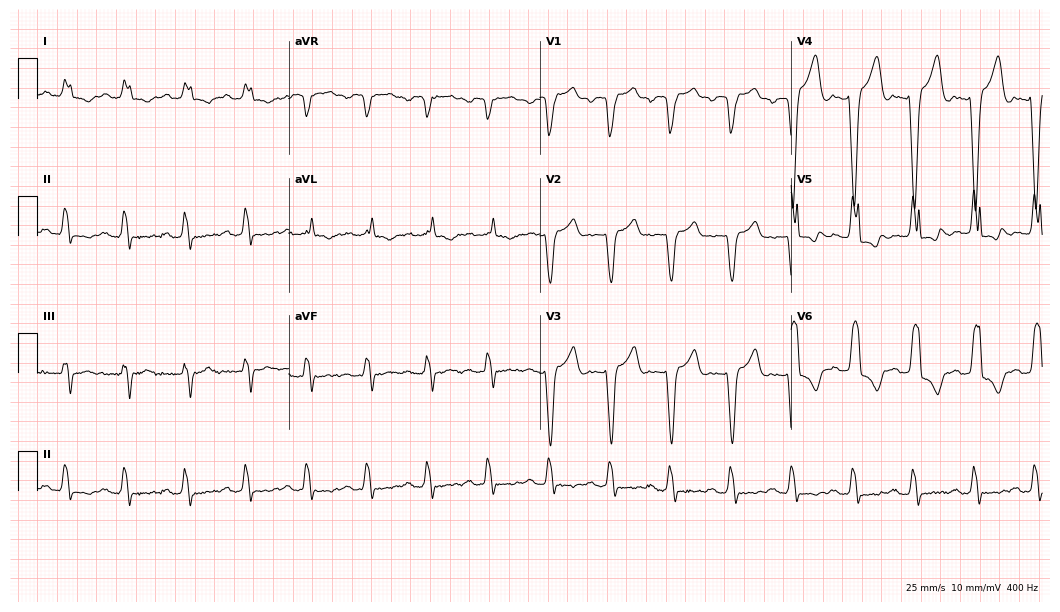
Resting 12-lead electrocardiogram (10.2-second recording at 400 Hz). Patient: a 53-year-old woman. The tracing shows left bundle branch block.